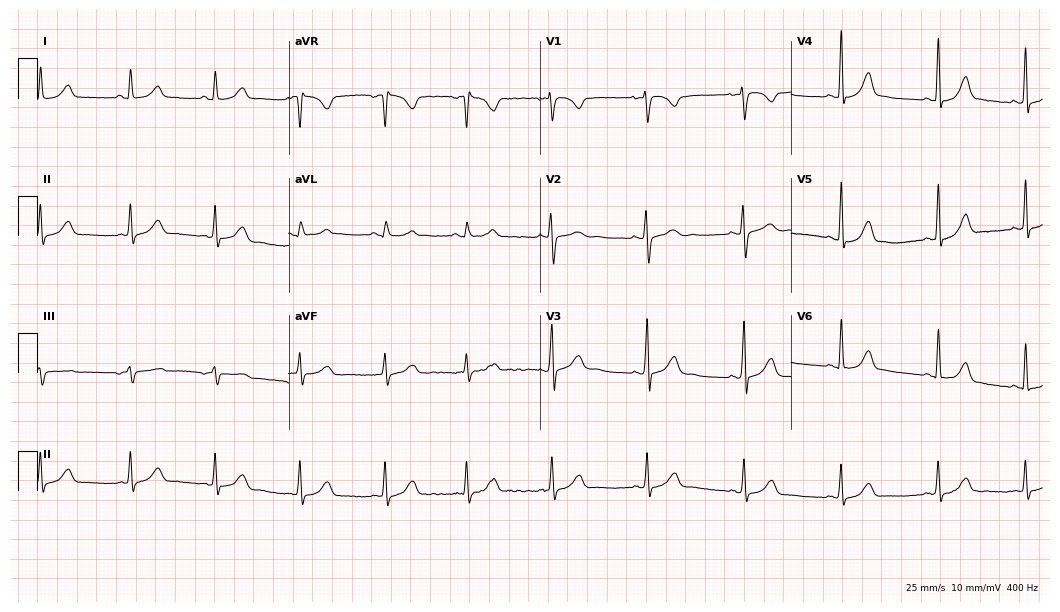
ECG (10.2-second recording at 400 Hz) — a 36-year-old female. Screened for six findings — first-degree AV block, right bundle branch block (RBBB), left bundle branch block (LBBB), sinus bradycardia, atrial fibrillation (AF), sinus tachycardia — none is recorded.